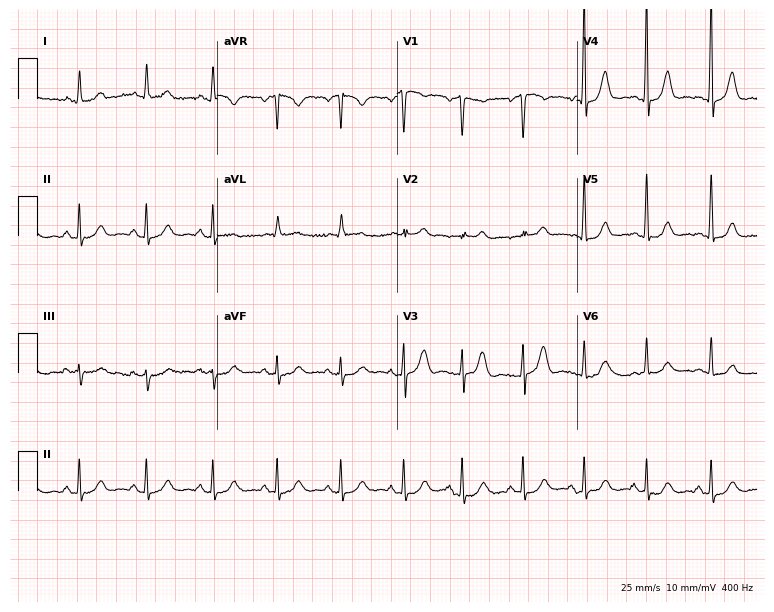
Electrocardiogram (7.3-second recording at 400 Hz), a female, 81 years old. Overall reading on record: normal ECG.